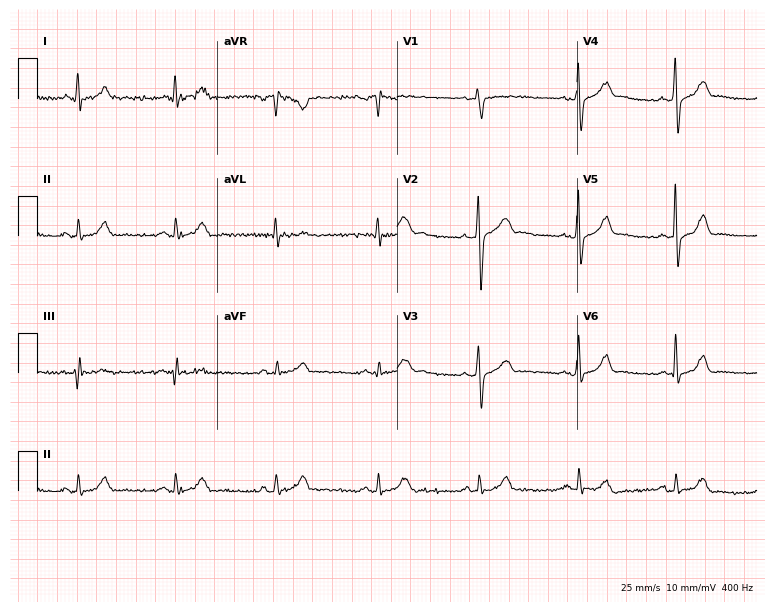
12-lead ECG from a male, 43 years old (7.3-second recording at 400 Hz). No first-degree AV block, right bundle branch block, left bundle branch block, sinus bradycardia, atrial fibrillation or sinus tachycardia recorded for this tracing.